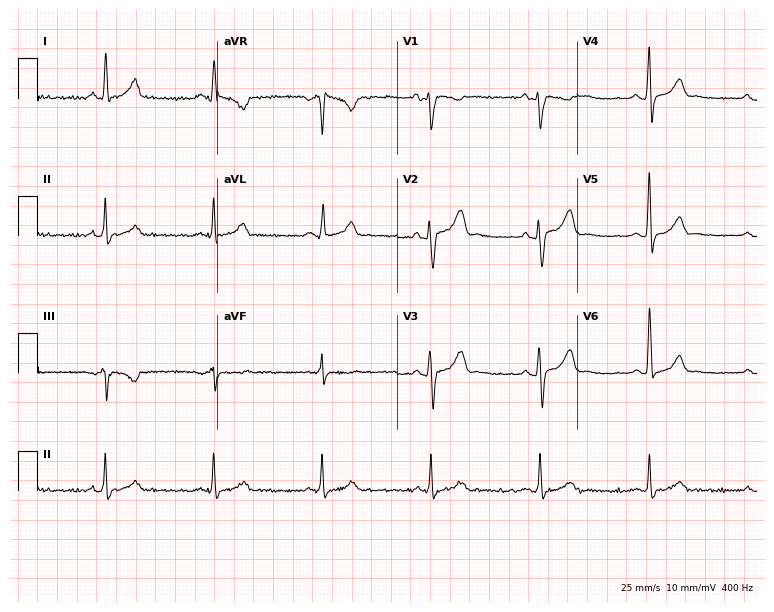
Electrocardiogram (7.3-second recording at 400 Hz), a 49-year-old male patient. Of the six screened findings (first-degree AV block, right bundle branch block (RBBB), left bundle branch block (LBBB), sinus bradycardia, atrial fibrillation (AF), sinus tachycardia), none is recorded. Findings outside these six are not listed.